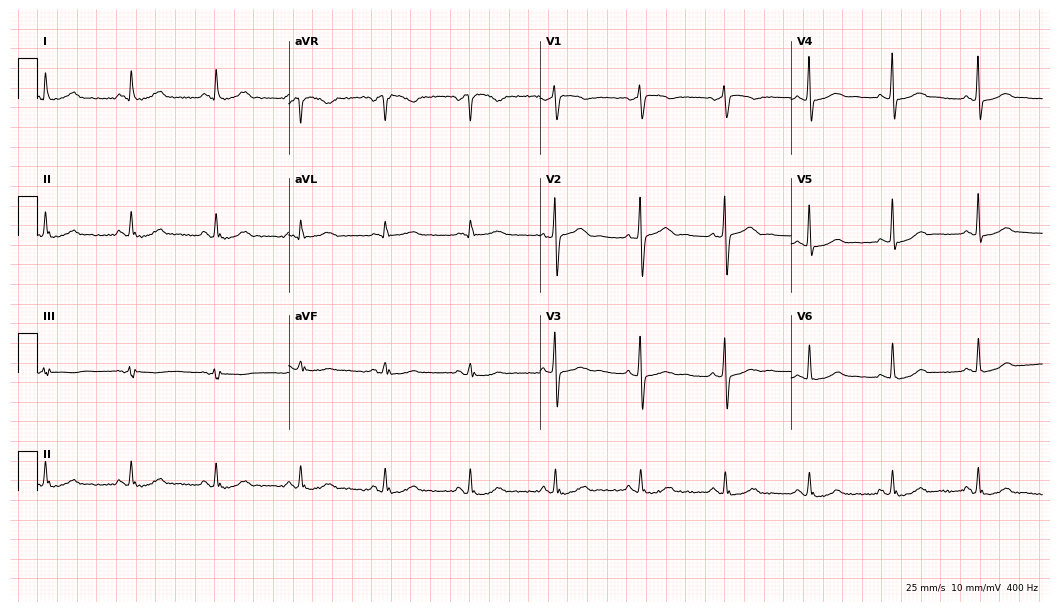
Standard 12-lead ECG recorded from a 59-year-old female. Read as a normal ECG.